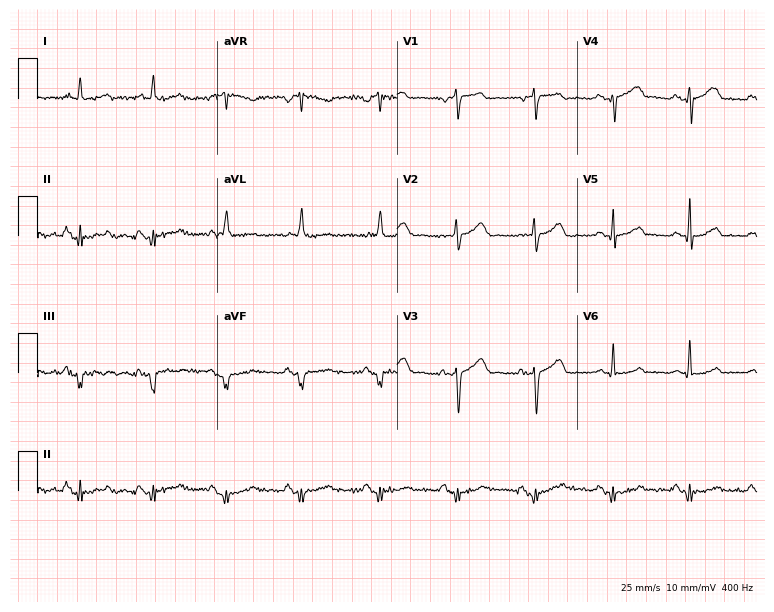
ECG — a 74-year-old male patient. Screened for six findings — first-degree AV block, right bundle branch block, left bundle branch block, sinus bradycardia, atrial fibrillation, sinus tachycardia — none is recorded. Other findings, if any, are not listed.